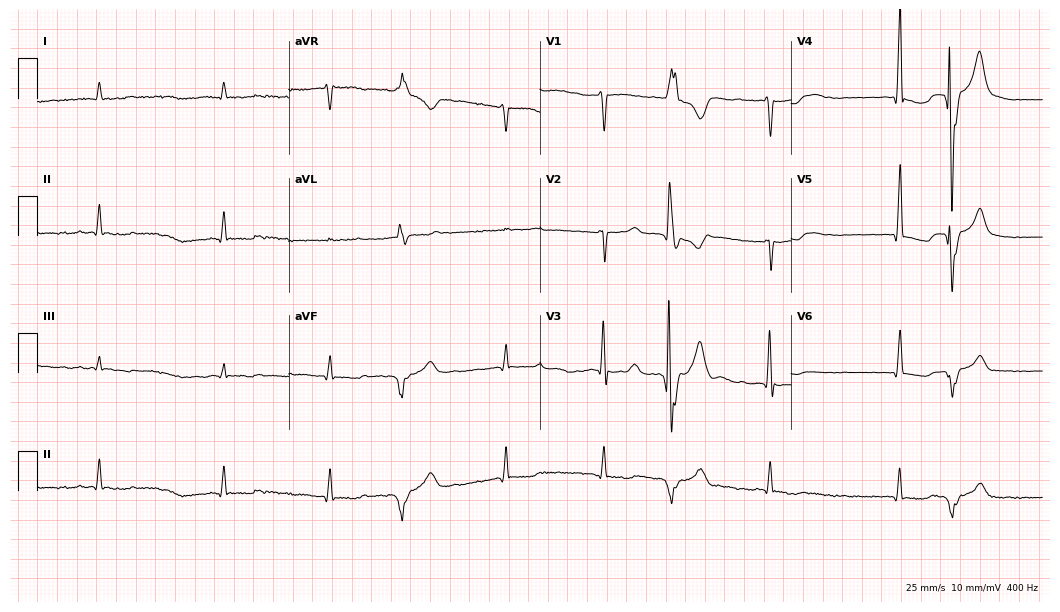
12-lead ECG from a 77-year-old male (10.2-second recording at 400 Hz). Shows atrial fibrillation.